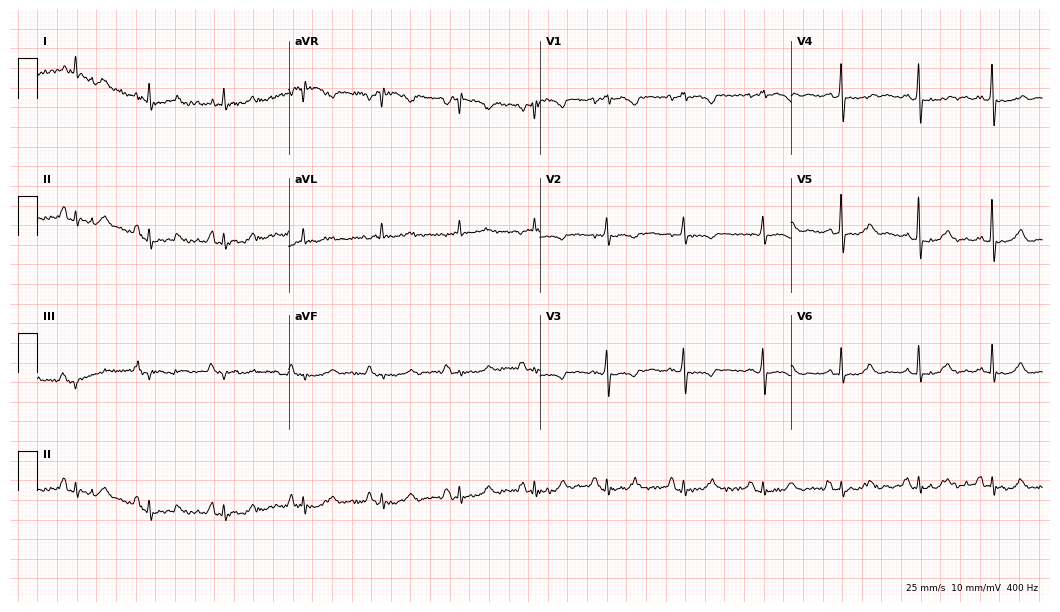
ECG (10.2-second recording at 400 Hz) — a 75-year-old woman. Screened for six findings — first-degree AV block, right bundle branch block, left bundle branch block, sinus bradycardia, atrial fibrillation, sinus tachycardia — none is recorded. Only these six findings were labelled.